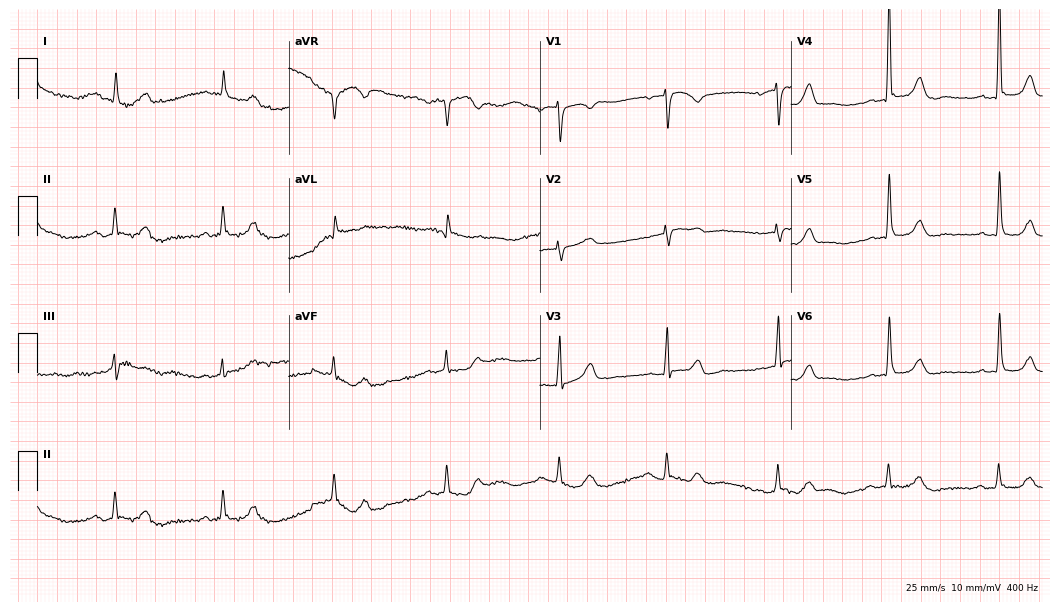
Electrocardiogram (10.2-second recording at 400 Hz), an 81-year-old female patient. Overall reading on record: normal ECG.